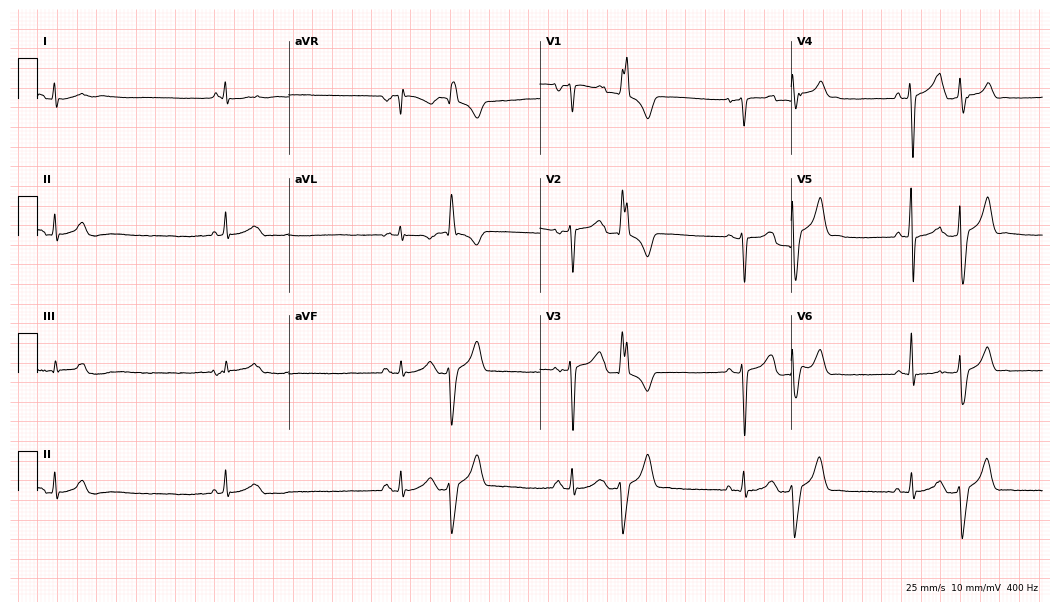
ECG (10.2-second recording at 400 Hz) — a 53-year-old male patient. Findings include sinus bradycardia (a sinus rate of 50 beats per minute or less).